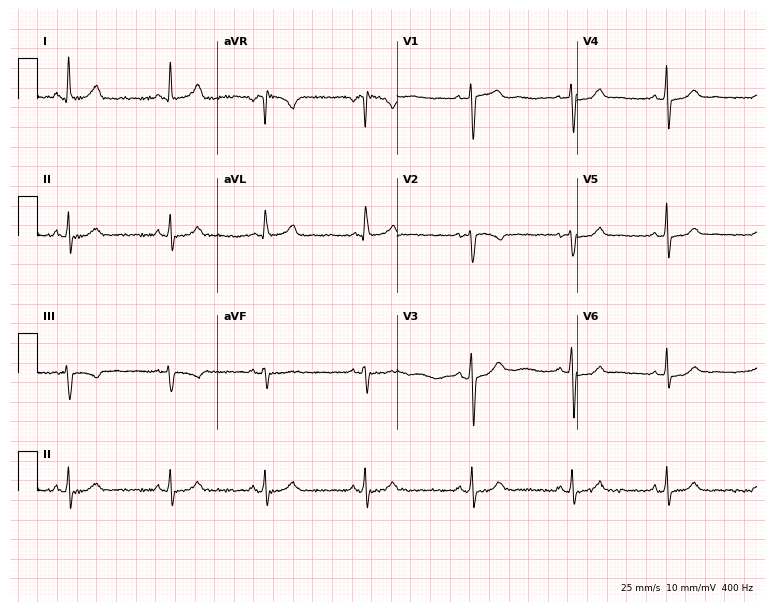
ECG — a female, 33 years old. Screened for six findings — first-degree AV block, right bundle branch block, left bundle branch block, sinus bradycardia, atrial fibrillation, sinus tachycardia — none is recorded. Only these six findings were labelled.